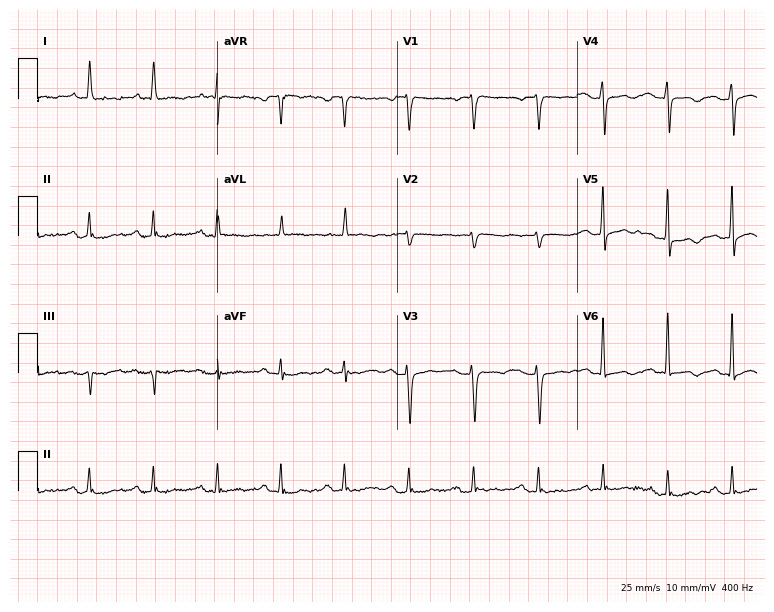
12-lead ECG from a woman, 75 years old. Screened for six findings — first-degree AV block, right bundle branch block (RBBB), left bundle branch block (LBBB), sinus bradycardia, atrial fibrillation (AF), sinus tachycardia — none is recorded. Other findings, if any, are not listed.